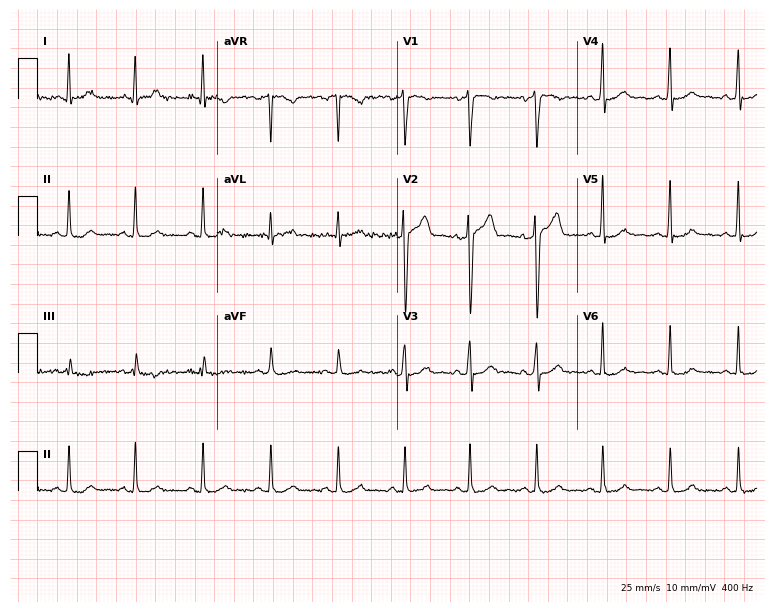
Standard 12-lead ECG recorded from a 34-year-old man. None of these six findings is recorded: first-degree AV block, right bundle branch block (RBBB), left bundle branch block (LBBB), sinus bradycardia, atrial fibrillation (AF), sinus tachycardia.